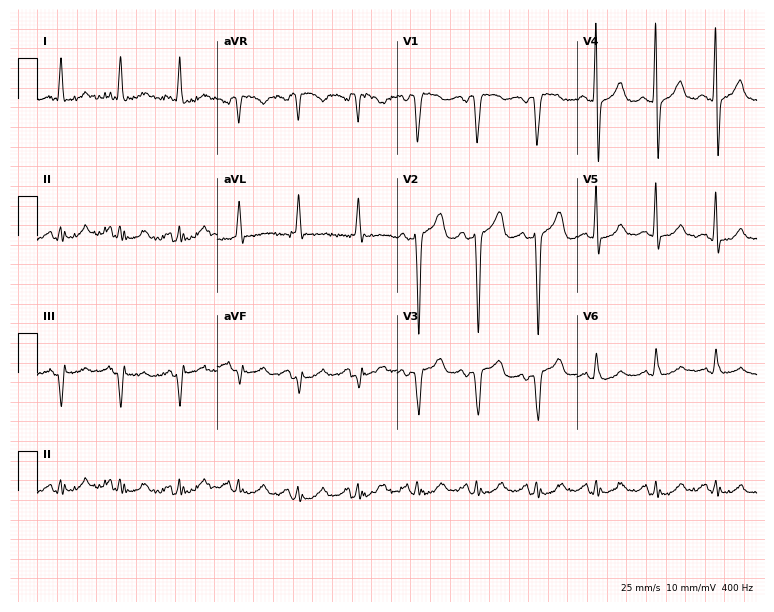
Standard 12-lead ECG recorded from a female, 74 years old. None of these six findings is recorded: first-degree AV block, right bundle branch block, left bundle branch block, sinus bradycardia, atrial fibrillation, sinus tachycardia. Only these six findings were labelled.